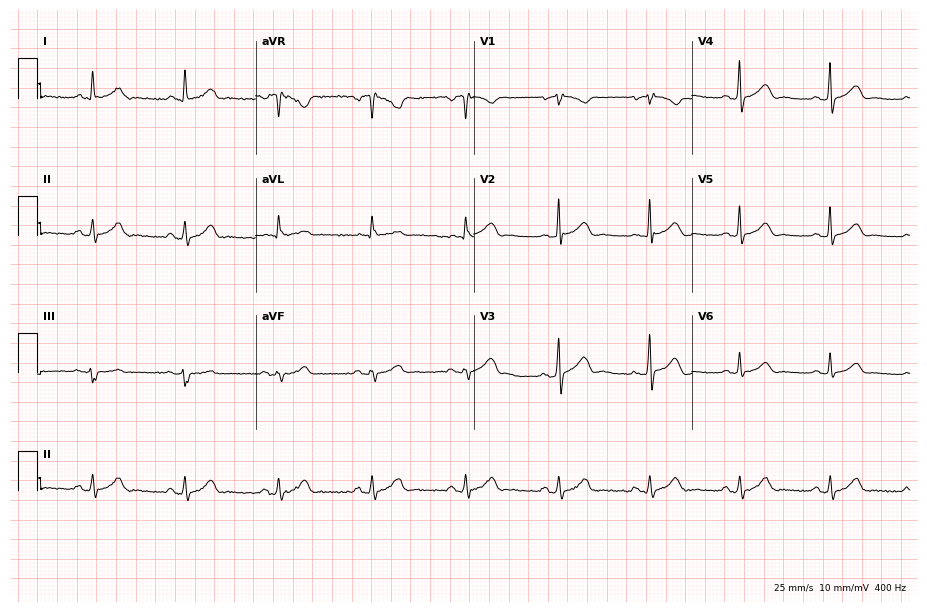
ECG (8.9-second recording at 400 Hz) — a 58-year-old female. Screened for six findings — first-degree AV block, right bundle branch block, left bundle branch block, sinus bradycardia, atrial fibrillation, sinus tachycardia — none is recorded. Only these six findings were labelled.